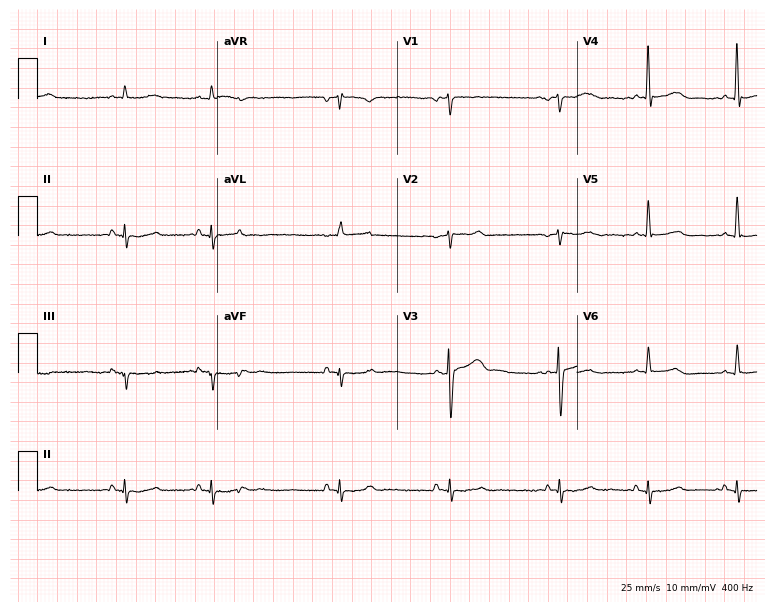
Electrocardiogram (7.3-second recording at 400 Hz), a man, 81 years old. Of the six screened findings (first-degree AV block, right bundle branch block, left bundle branch block, sinus bradycardia, atrial fibrillation, sinus tachycardia), none is recorded.